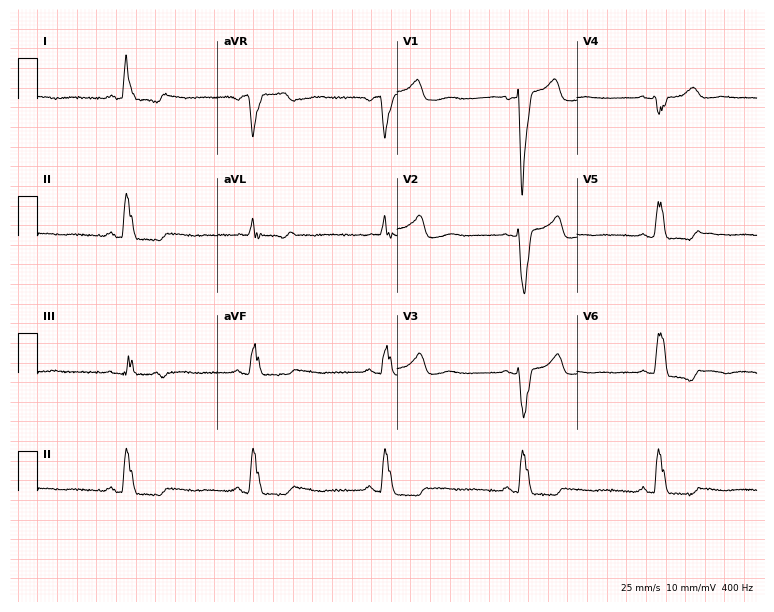
ECG — a female, 67 years old. Findings include left bundle branch block, sinus bradycardia (a sinus rate of 50 beats per minute or less).